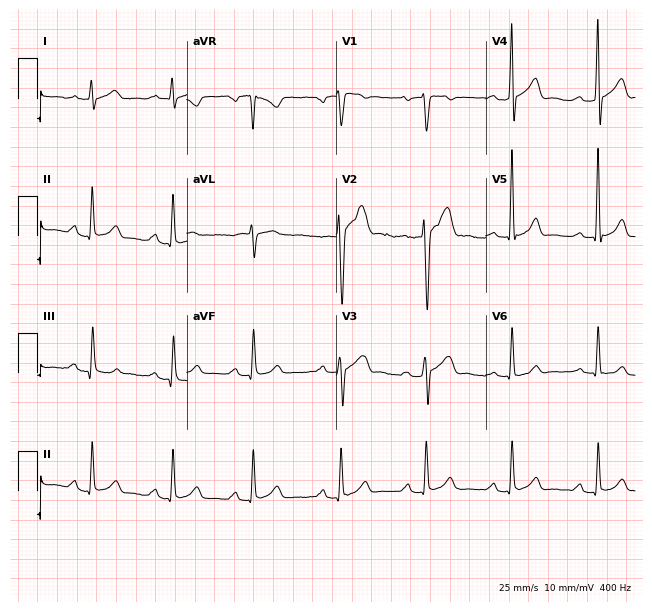
Electrocardiogram (6.1-second recording at 400 Hz), a 30-year-old male patient. Of the six screened findings (first-degree AV block, right bundle branch block (RBBB), left bundle branch block (LBBB), sinus bradycardia, atrial fibrillation (AF), sinus tachycardia), none is recorded.